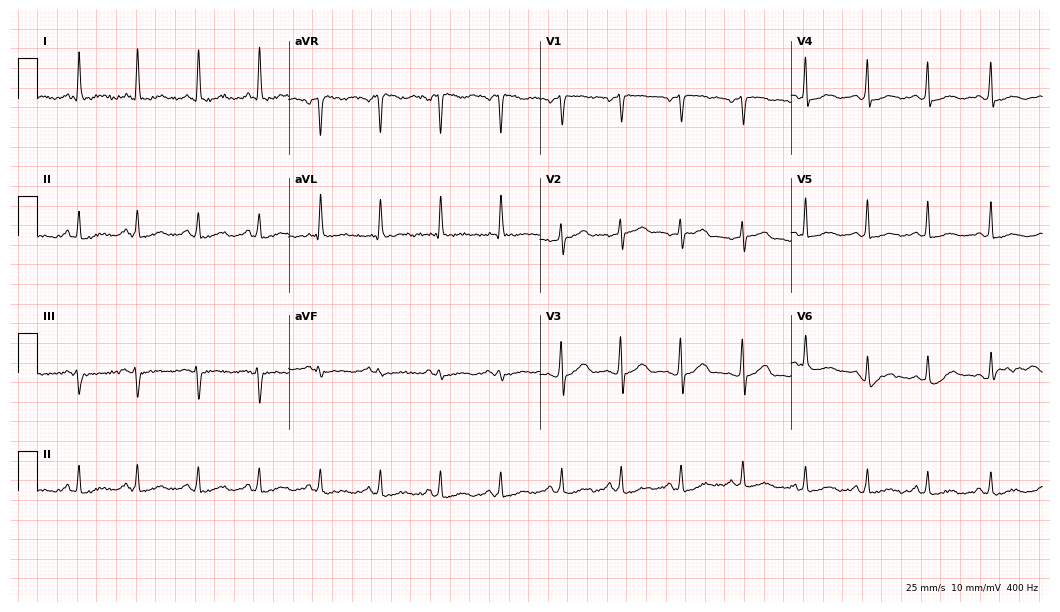
Standard 12-lead ECG recorded from a woman, 50 years old. None of these six findings is recorded: first-degree AV block, right bundle branch block, left bundle branch block, sinus bradycardia, atrial fibrillation, sinus tachycardia. Only these six findings were labelled.